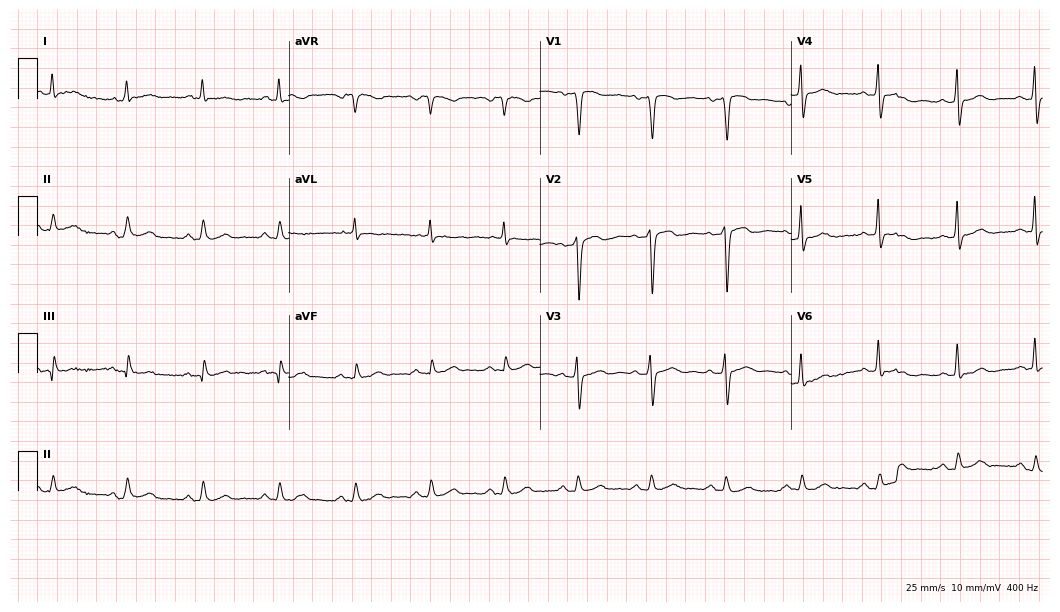
Standard 12-lead ECG recorded from a 76-year-old male. Read as a normal ECG.